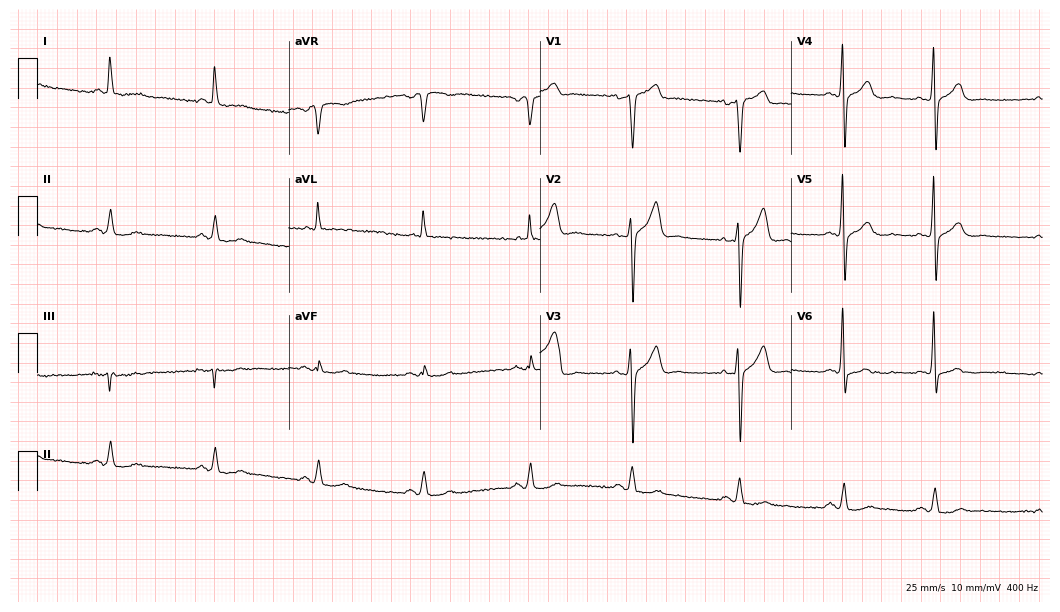
12-lead ECG from a male, 66 years old. Recorded interpretation: within normal limits.